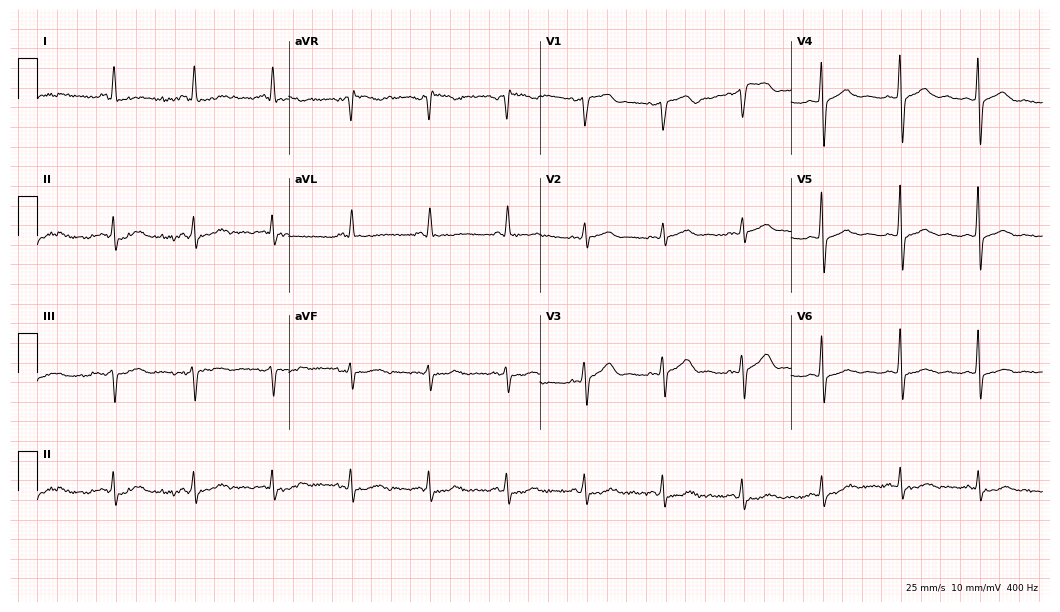
Electrocardiogram, a 55-year-old female patient. Overall reading on record: normal ECG.